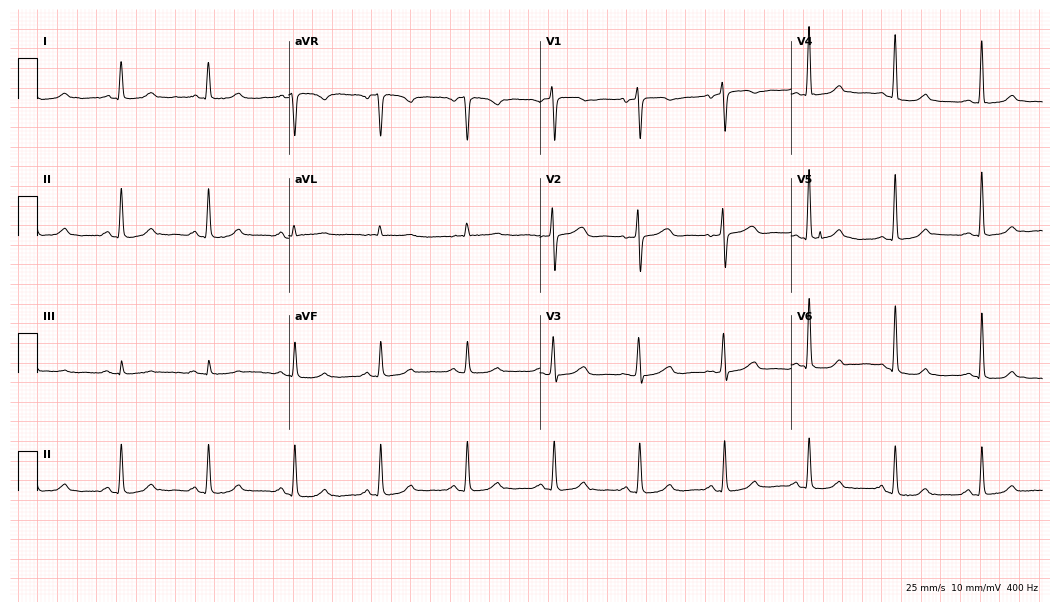
Standard 12-lead ECG recorded from a female, 68 years old (10.2-second recording at 400 Hz). None of these six findings is recorded: first-degree AV block, right bundle branch block (RBBB), left bundle branch block (LBBB), sinus bradycardia, atrial fibrillation (AF), sinus tachycardia.